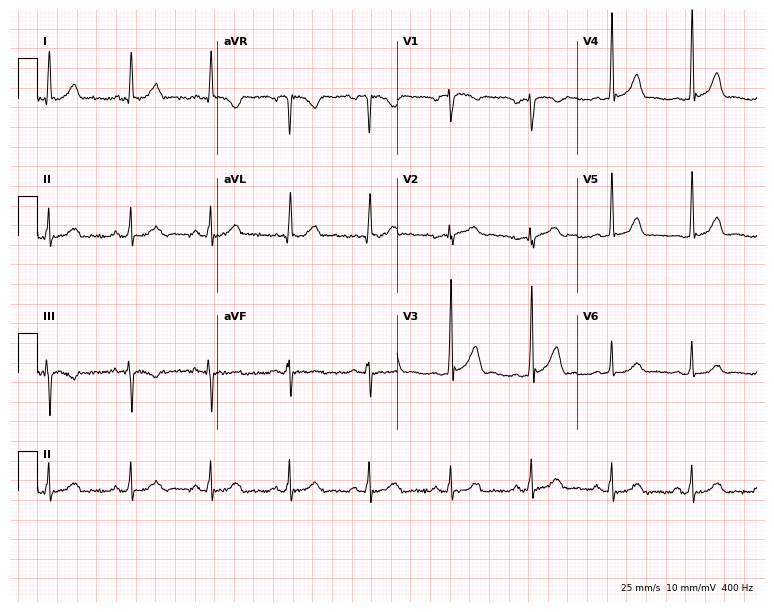
12-lead ECG from a 46-year-old male (7.3-second recording at 400 Hz). Recorded interpretation: within normal limits.